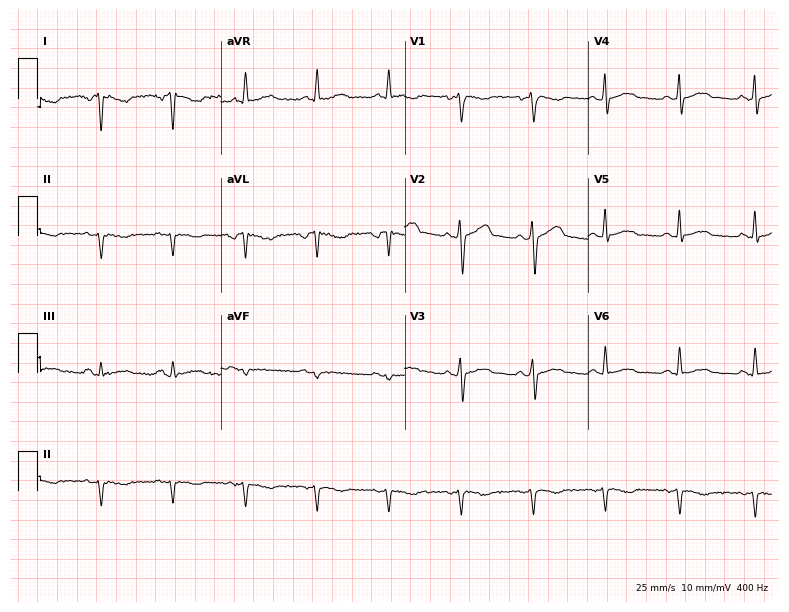
Resting 12-lead electrocardiogram (7.5-second recording at 400 Hz). Patient: a male, 36 years old. None of these six findings is recorded: first-degree AV block, right bundle branch block, left bundle branch block, sinus bradycardia, atrial fibrillation, sinus tachycardia.